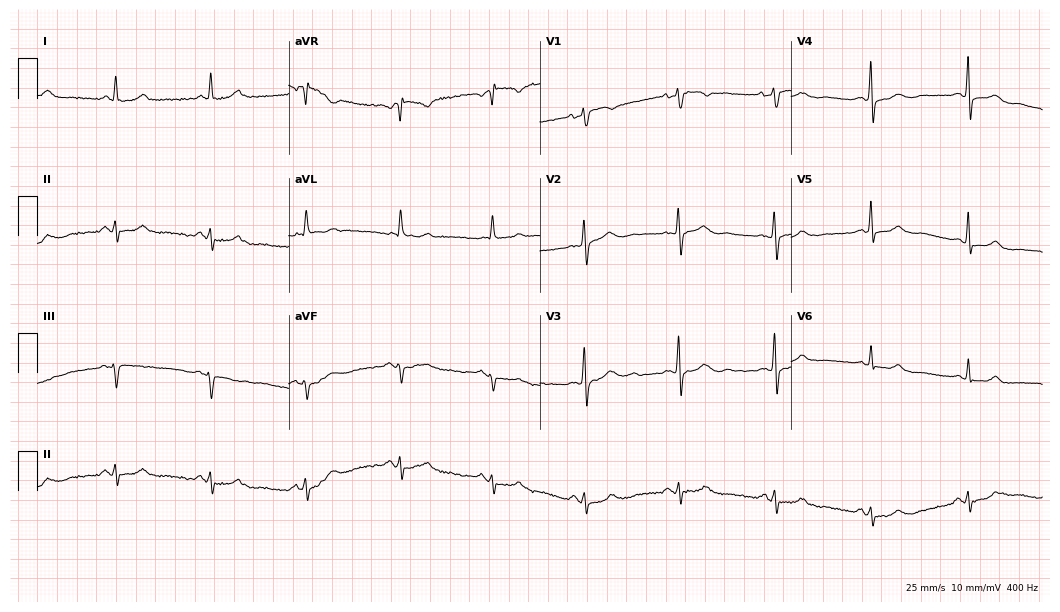
ECG — a female, 63 years old. Labelled as a normal ECG.